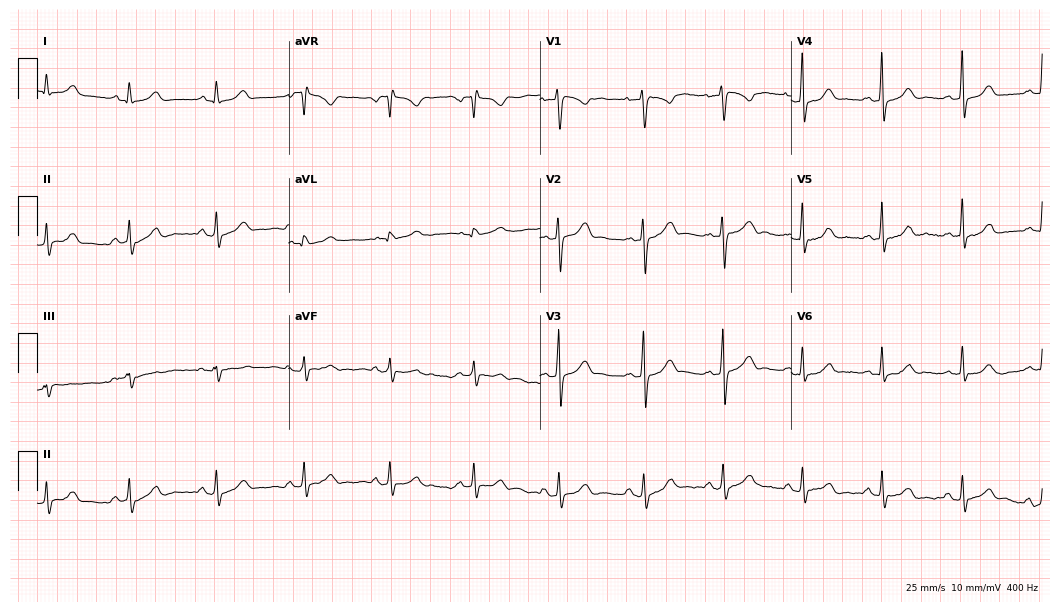
Standard 12-lead ECG recorded from a 21-year-old woman. Read as a normal ECG.